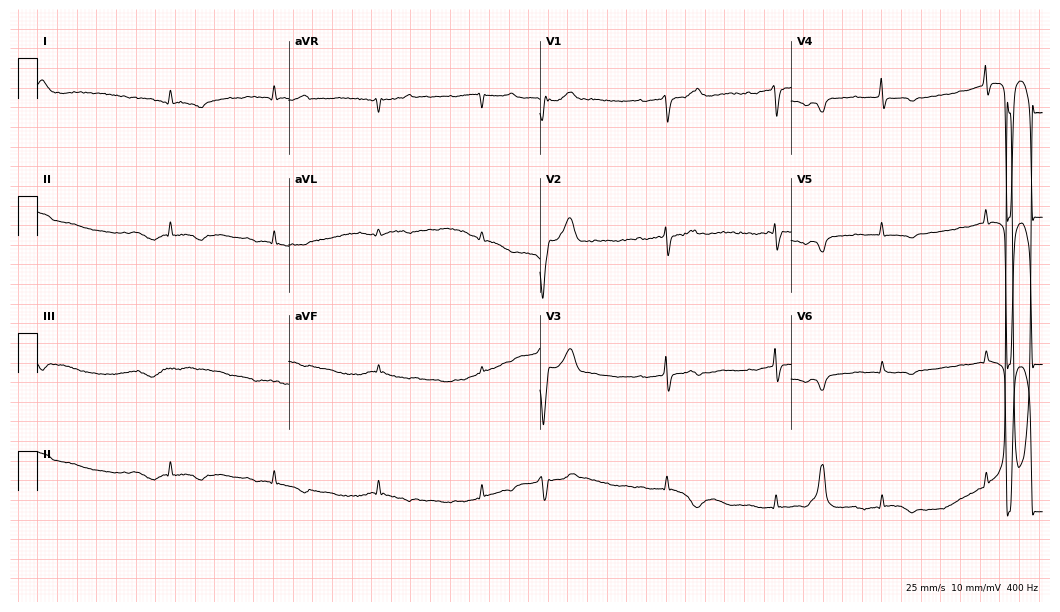
ECG — a 72-year-old woman. Findings include atrial fibrillation (AF).